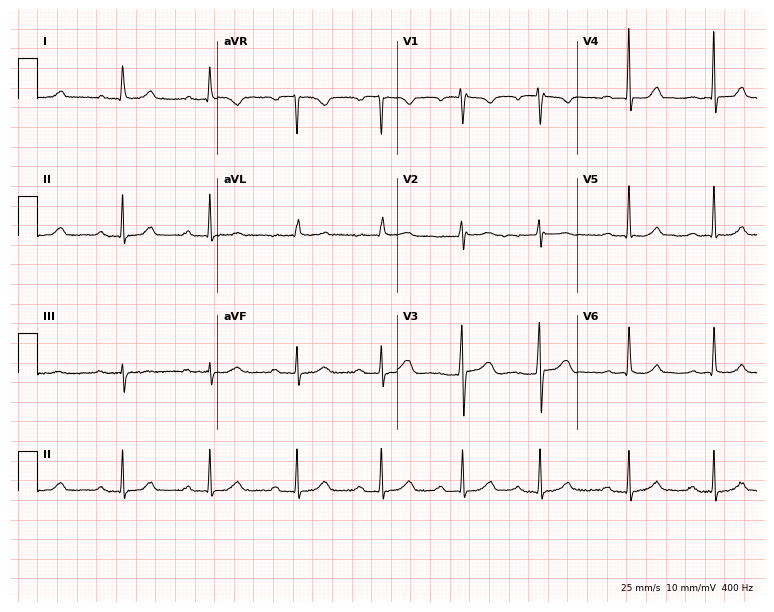
12-lead ECG from a woman, 81 years old (7.3-second recording at 400 Hz). Shows first-degree AV block.